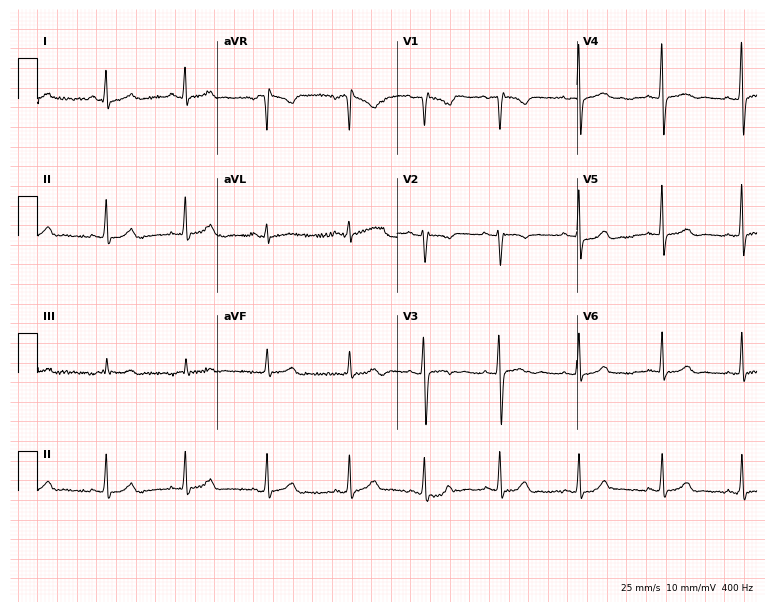
Standard 12-lead ECG recorded from a 24-year-old female (7.3-second recording at 400 Hz). Read as a normal ECG.